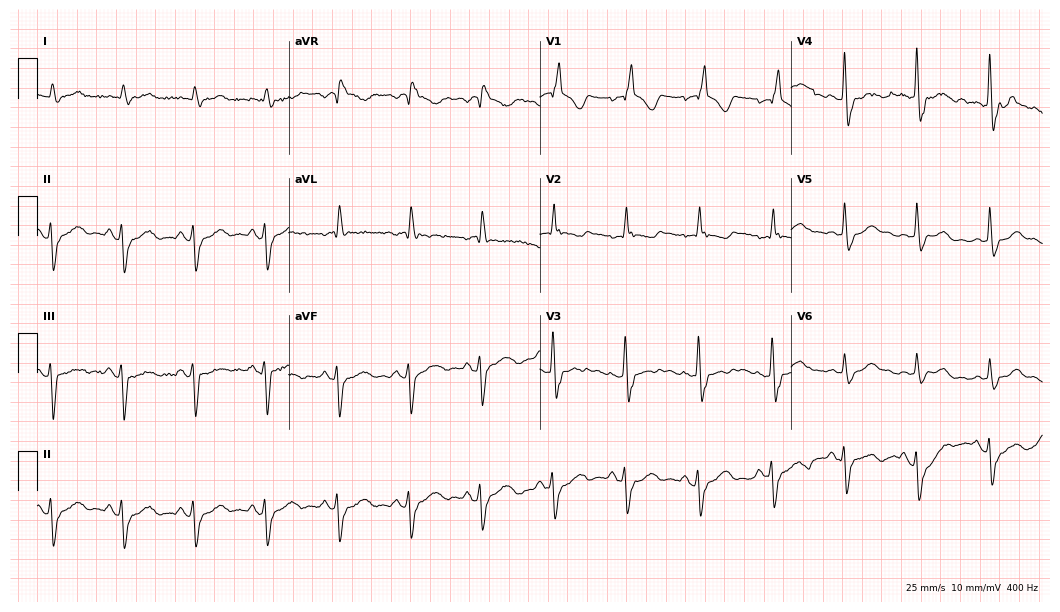
12-lead ECG from a male, 86 years old. Findings include right bundle branch block (RBBB).